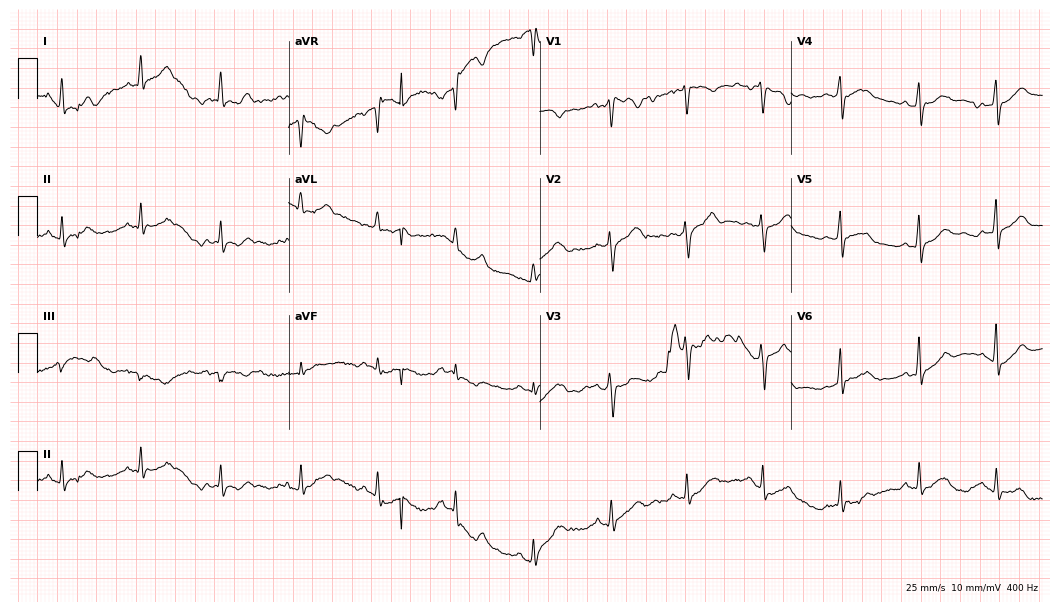
12-lead ECG from a 29-year-old male patient (10.2-second recording at 400 Hz). Recorded interpretation: within normal limits.